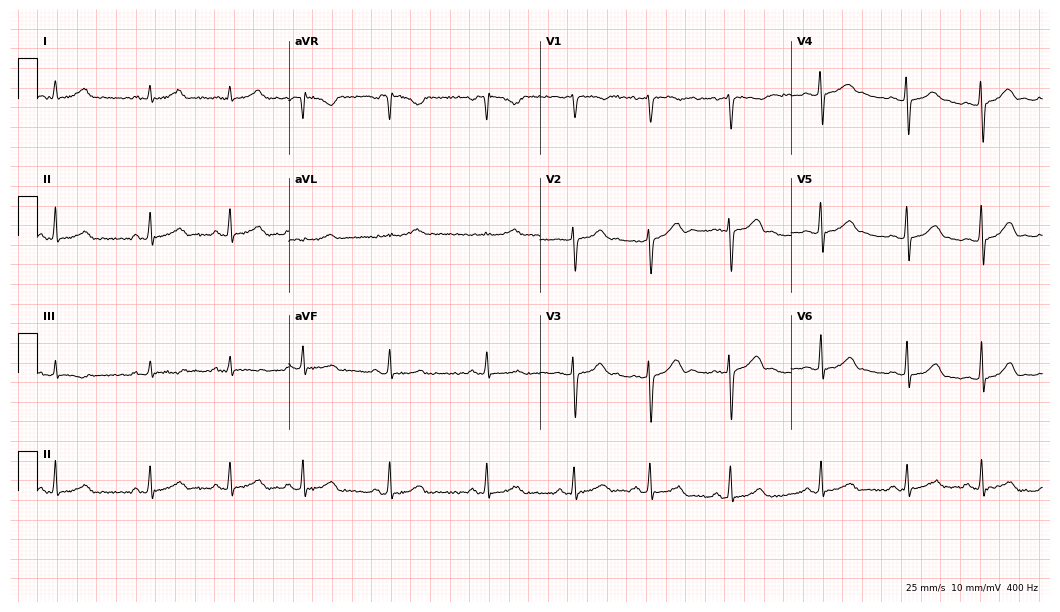
Resting 12-lead electrocardiogram. Patient: a 26-year-old female. None of these six findings is recorded: first-degree AV block, right bundle branch block, left bundle branch block, sinus bradycardia, atrial fibrillation, sinus tachycardia. Only these six findings were labelled.